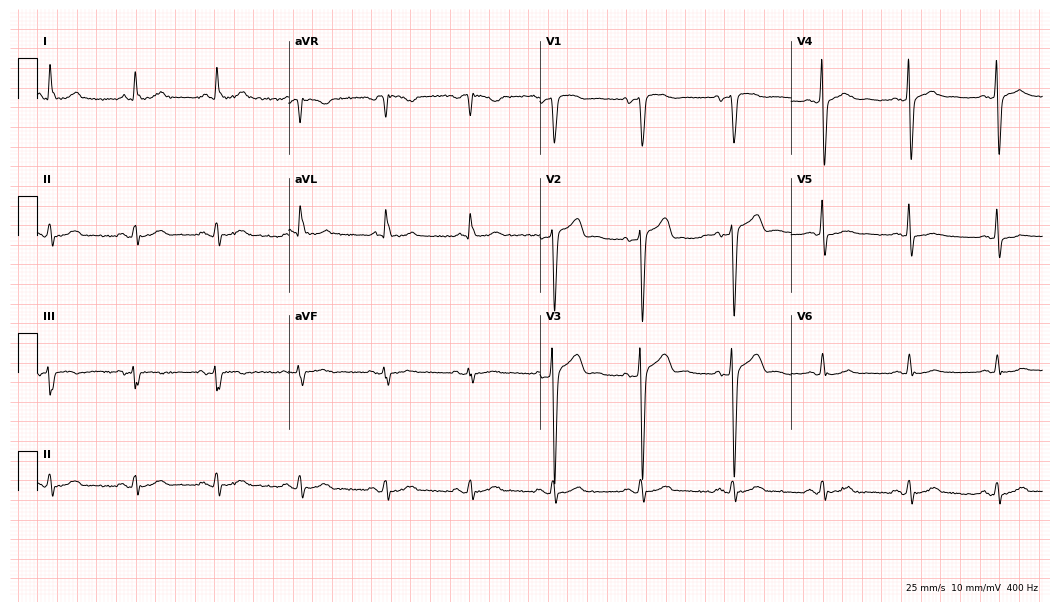
ECG (10.2-second recording at 400 Hz) — a 46-year-old male. Screened for six findings — first-degree AV block, right bundle branch block (RBBB), left bundle branch block (LBBB), sinus bradycardia, atrial fibrillation (AF), sinus tachycardia — none is recorded. Findings outside these six are not listed.